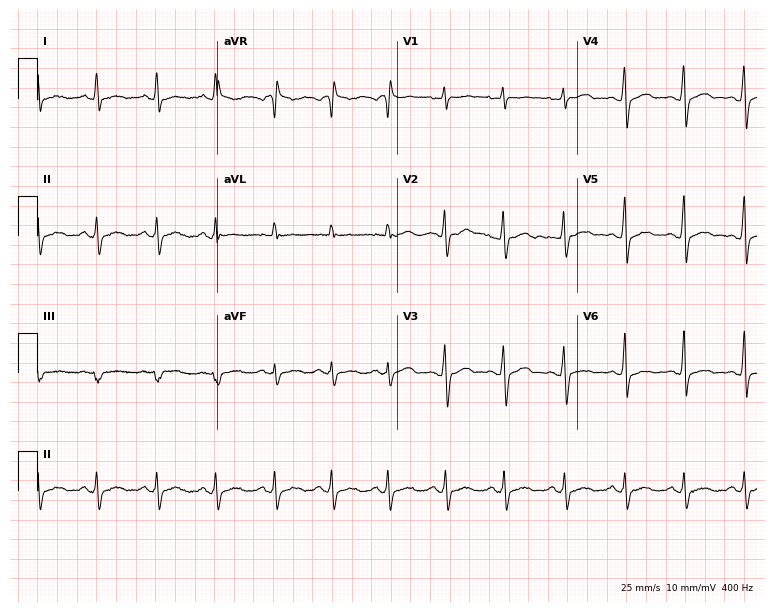
Electrocardiogram, a male patient, 35 years old. Of the six screened findings (first-degree AV block, right bundle branch block (RBBB), left bundle branch block (LBBB), sinus bradycardia, atrial fibrillation (AF), sinus tachycardia), none is recorded. Only these six findings were labelled.